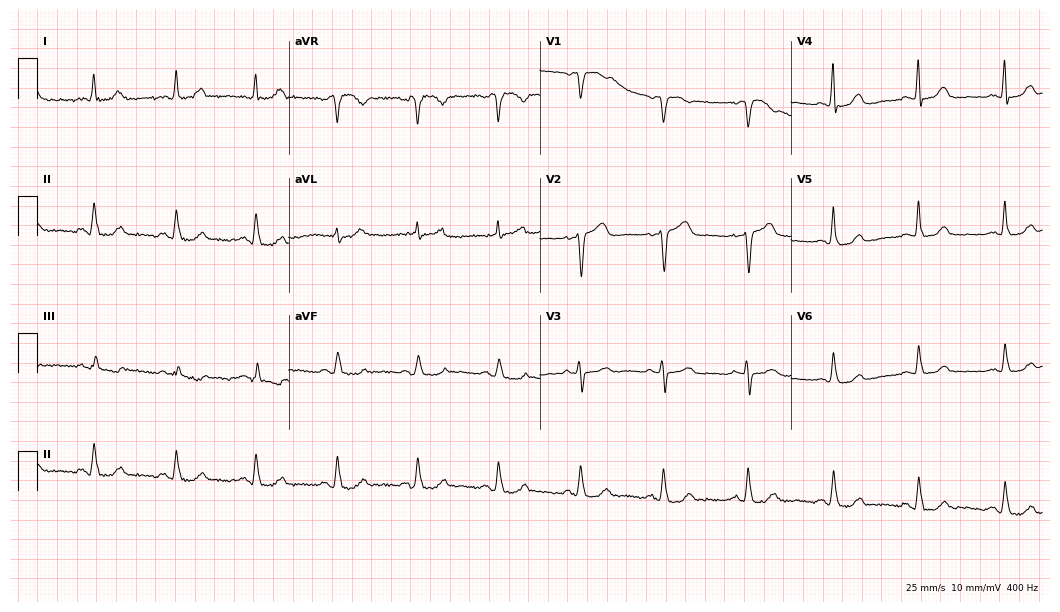
Standard 12-lead ECG recorded from a 68-year-old female. Read as a normal ECG.